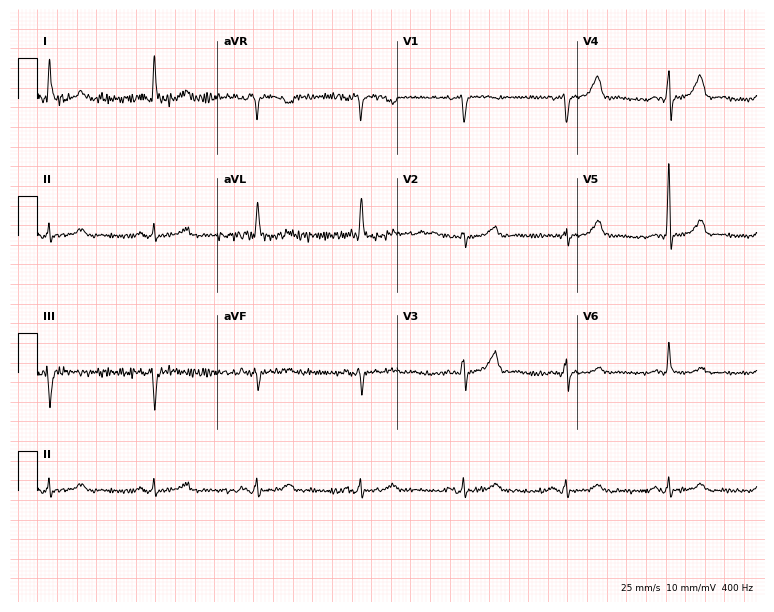
12-lead ECG from a 73-year-old female. Recorded interpretation: within normal limits.